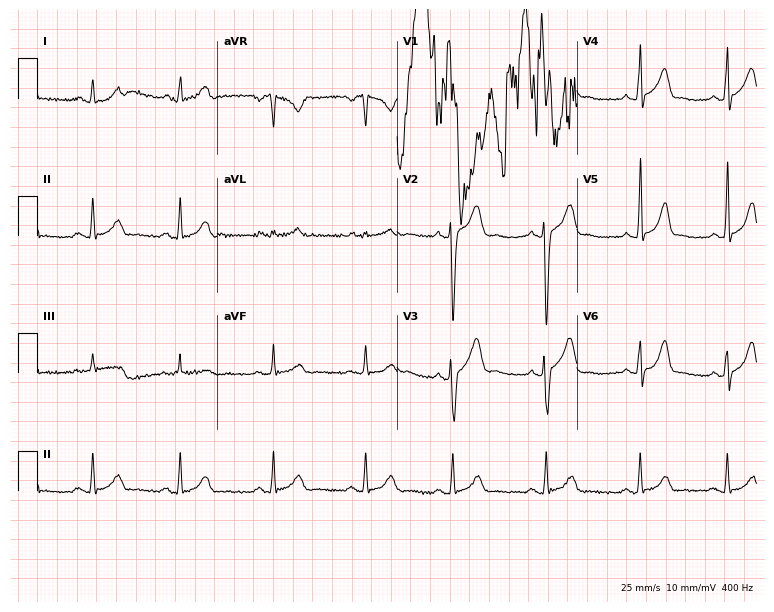
12-lead ECG from a male, 31 years old (7.3-second recording at 400 Hz). No first-degree AV block, right bundle branch block (RBBB), left bundle branch block (LBBB), sinus bradycardia, atrial fibrillation (AF) or sinus tachycardia recorded for this tracing.